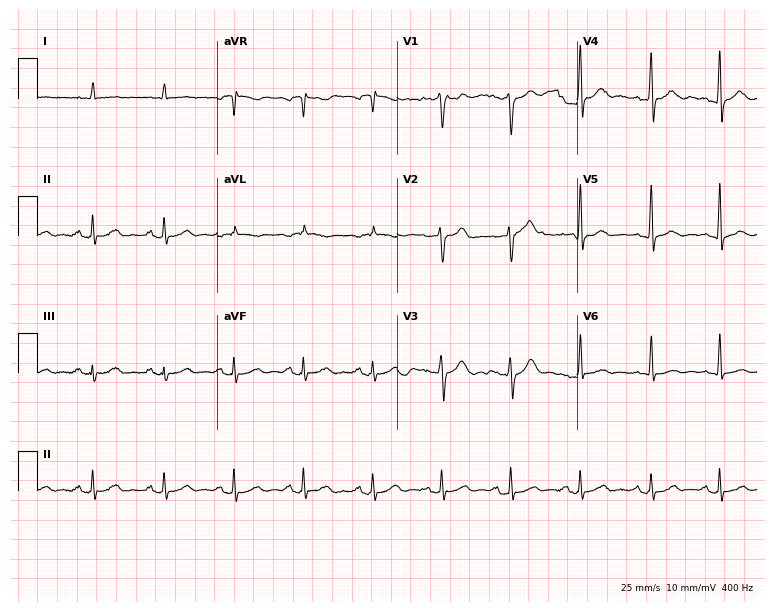
12-lead ECG from a male, 82 years old. No first-degree AV block, right bundle branch block (RBBB), left bundle branch block (LBBB), sinus bradycardia, atrial fibrillation (AF) or sinus tachycardia recorded for this tracing.